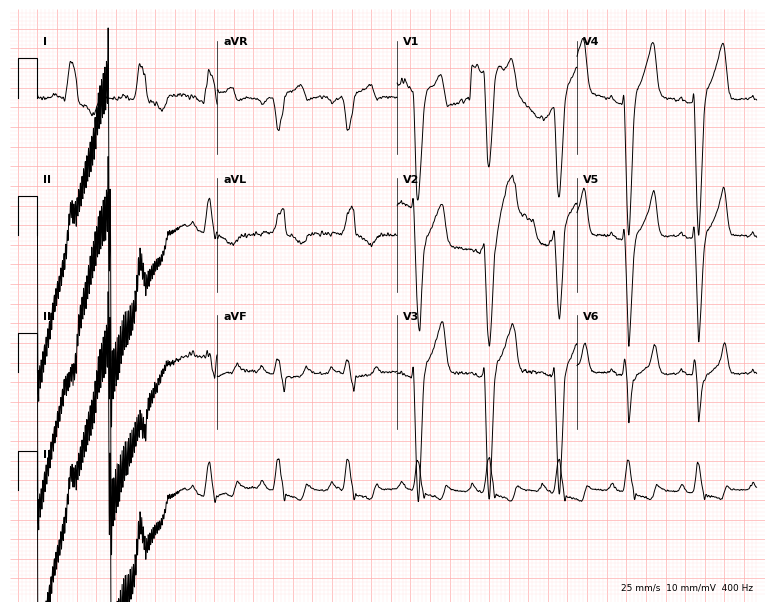
ECG (7.3-second recording at 400 Hz) — an 83-year-old female patient. Findings include left bundle branch block (LBBB).